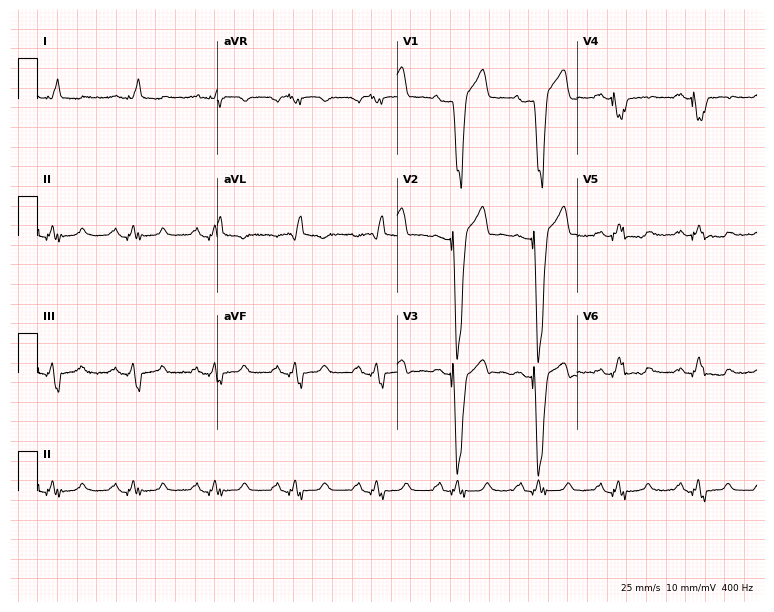
ECG (7.3-second recording at 400 Hz) — a male patient, 67 years old. Screened for six findings — first-degree AV block, right bundle branch block (RBBB), left bundle branch block (LBBB), sinus bradycardia, atrial fibrillation (AF), sinus tachycardia — none is recorded. Other findings, if any, are not listed.